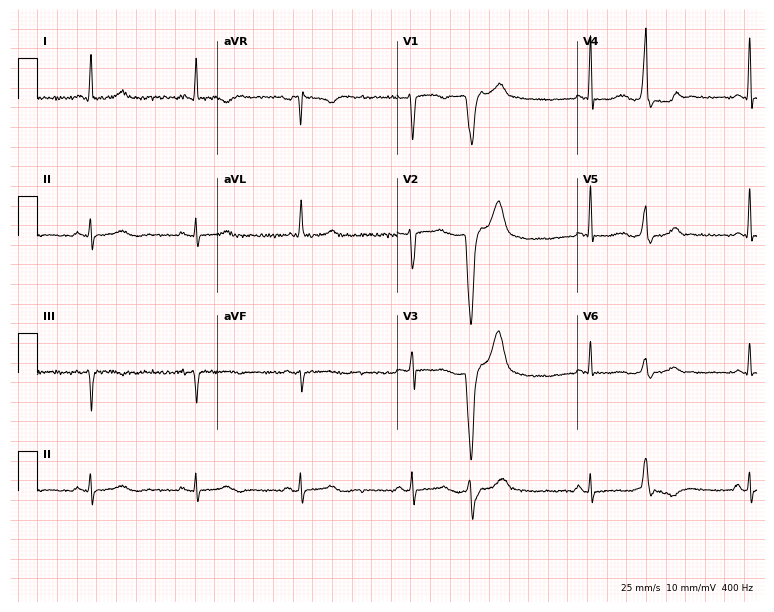
Standard 12-lead ECG recorded from a female patient, 60 years old. None of these six findings is recorded: first-degree AV block, right bundle branch block, left bundle branch block, sinus bradycardia, atrial fibrillation, sinus tachycardia. Other findings, if any, are not listed.